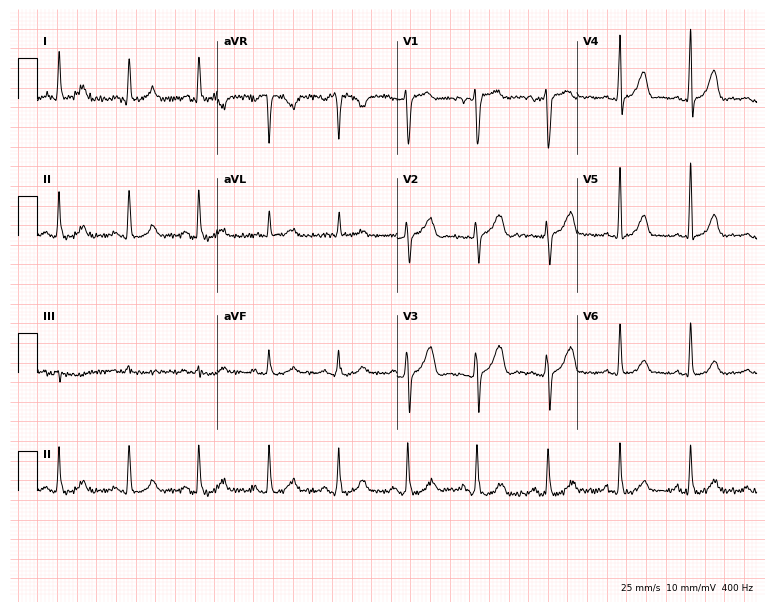
12-lead ECG from a 50-year-old female patient. Recorded interpretation: within normal limits.